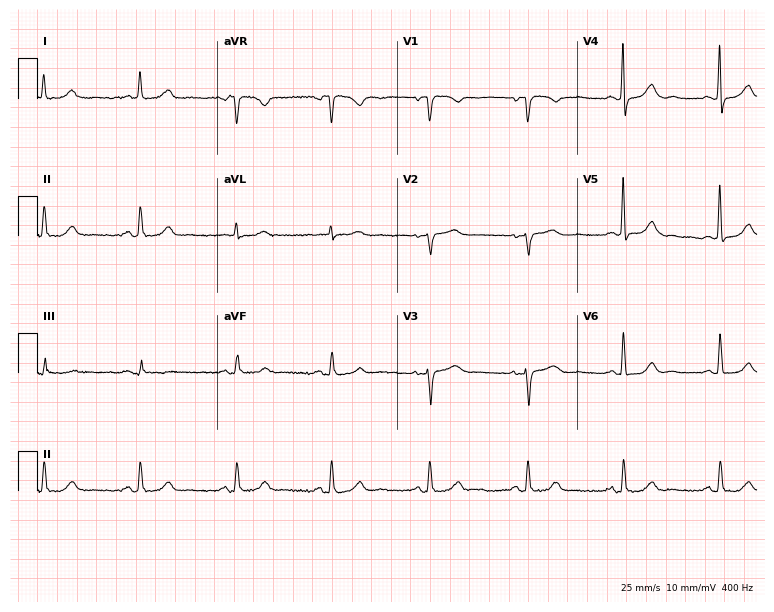
12-lead ECG (7.3-second recording at 400 Hz) from a female, 73 years old. Labelled as a normal ECG.